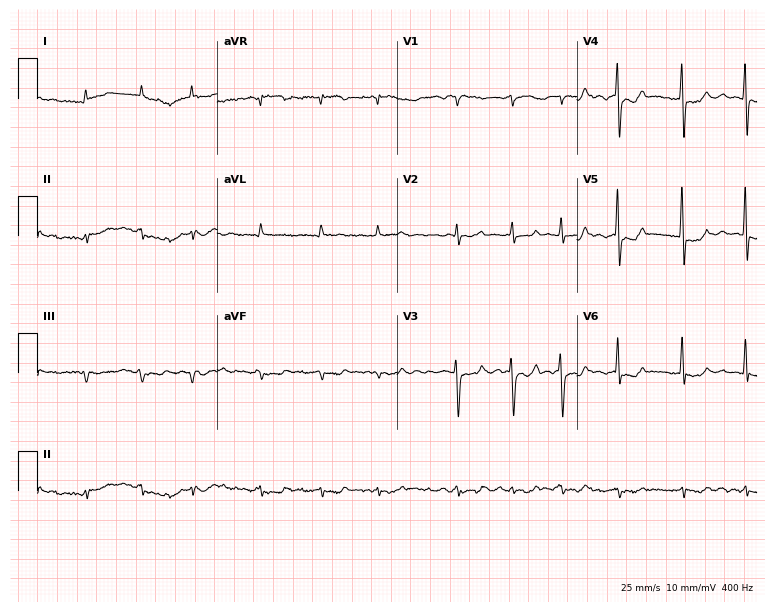
Resting 12-lead electrocardiogram. Patient: a 74-year-old male. None of these six findings is recorded: first-degree AV block, right bundle branch block, left bundle branch block, sinus bradycardia, atrial fibrillation, sinus tachycardia.